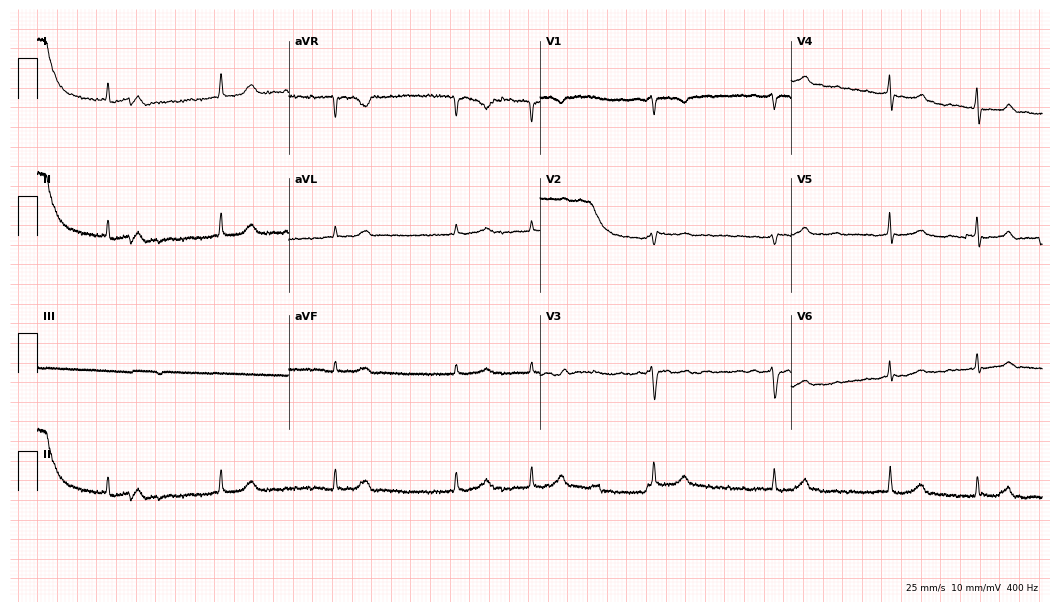
12-lead ECG from a 72-year-old female patient. Screened for six findings — first-degree AV block, right bundle branch block, left bundle branch block, sinus bradycardia, atrial fibrillation, sinus tachycardia — none is recorded.